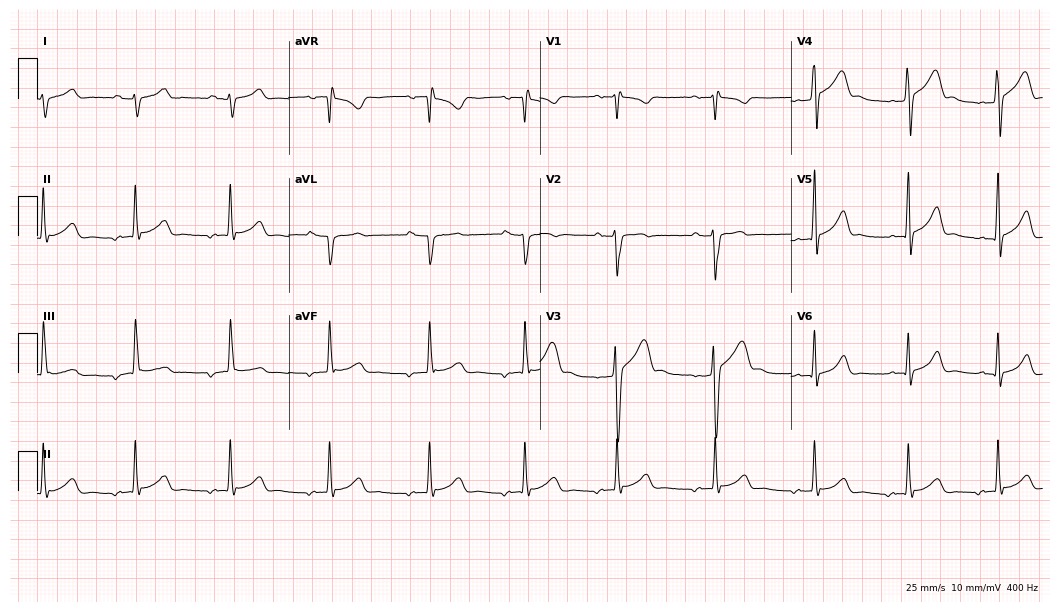
12-lead ECG from a 20-year-old male patient. No first-degree AV block, right bundle branch block, left bundle branch block, sinus bradycardia, atrial fibrillation or sinus tachycardia recorded for this tracing.